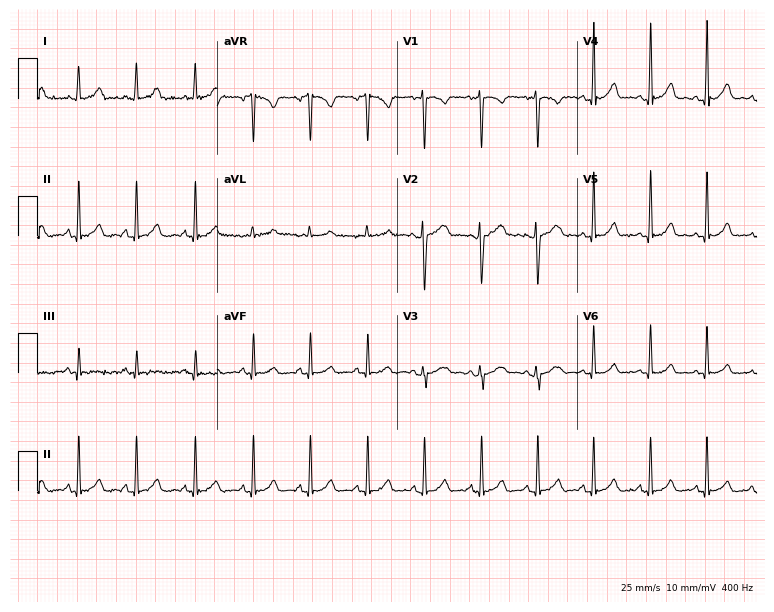
Standard 12-lead ECG recorded from a woman, 23 years old. The tracing shows sinus tachycardia (a sinus rate of 100 beats per minute or more).